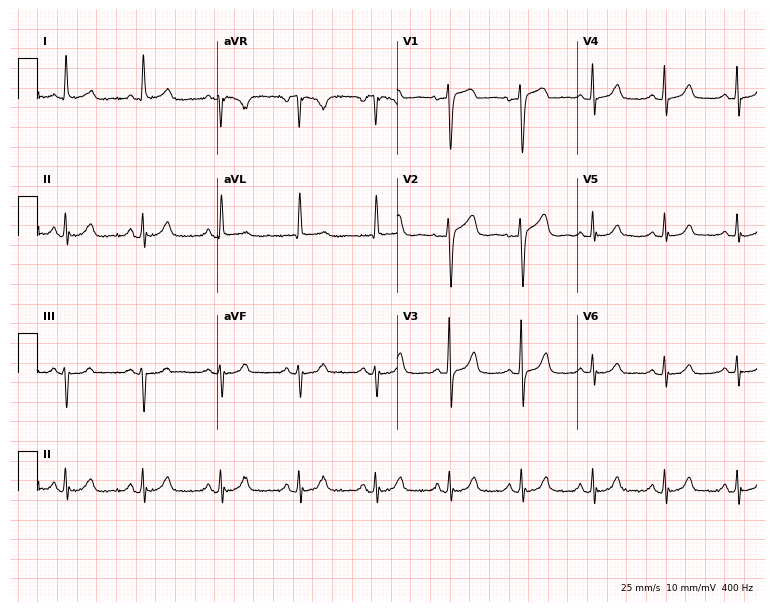
12-lead ECG from a woman, 79 years old. Recorded interpretation: within normal limits.